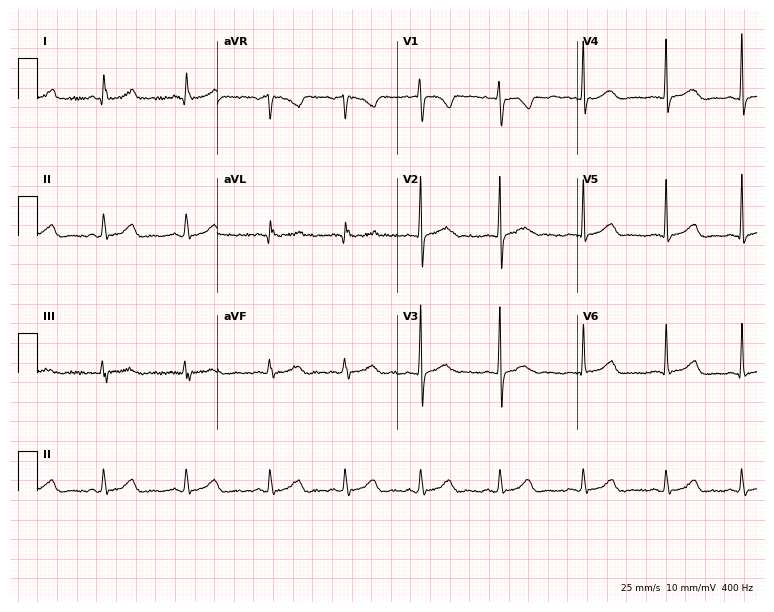
12-lead ECG (7.3-second recording at 400 Hz) from a female, 27 years old. Screened for six findings — first-degree AV block, right bundle branch block, left bundle branch block, sinus bradycardia, atrial fibrillation, sinus tachycardia — none is recorded.